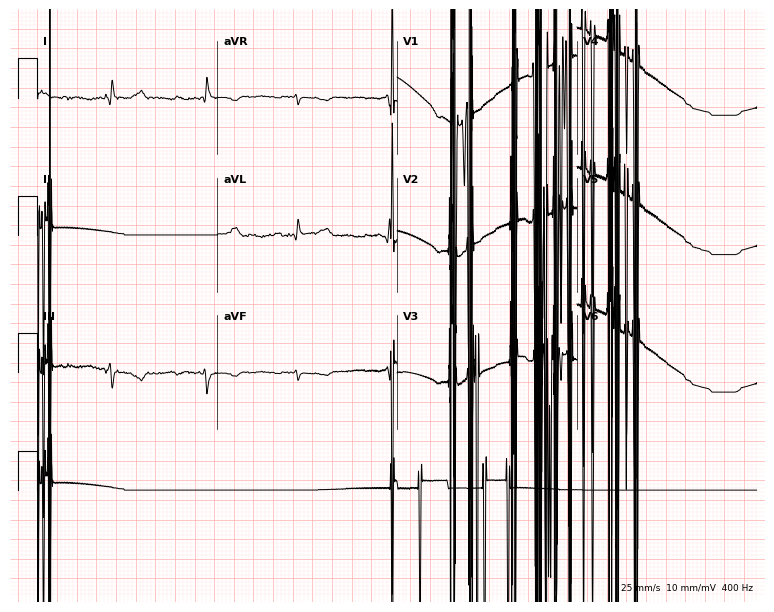
Resting 12-lead electrocardiogram. Patient: a male, 45 years old. None of these six findings is recorded: first-degree AV block, right bundle branch block, left bundle branch block, sinus bradycardia, atrial fibrillation, sinus tachycardia. Other findings, if any, are not listed.